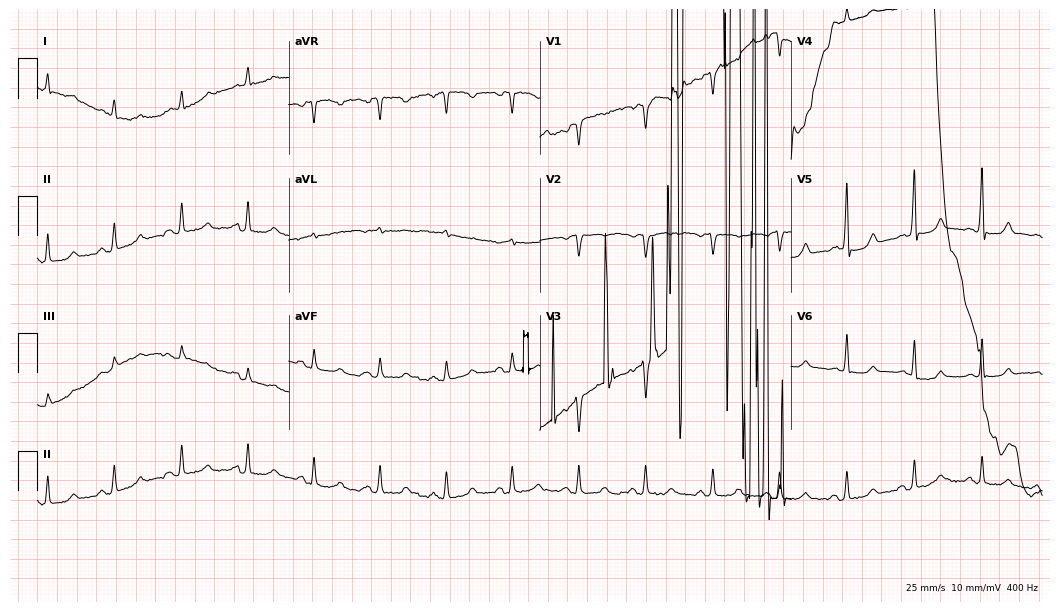
12-lead ECG (10.2-second recording at 400 Hz) from an 80-year-old woman. Screened for six findings — first-degree AV block, right bundle branch block, left bundle branch block, sinus bradycardia, atrial fibrillation, sinus tachycardia — none is recorded.